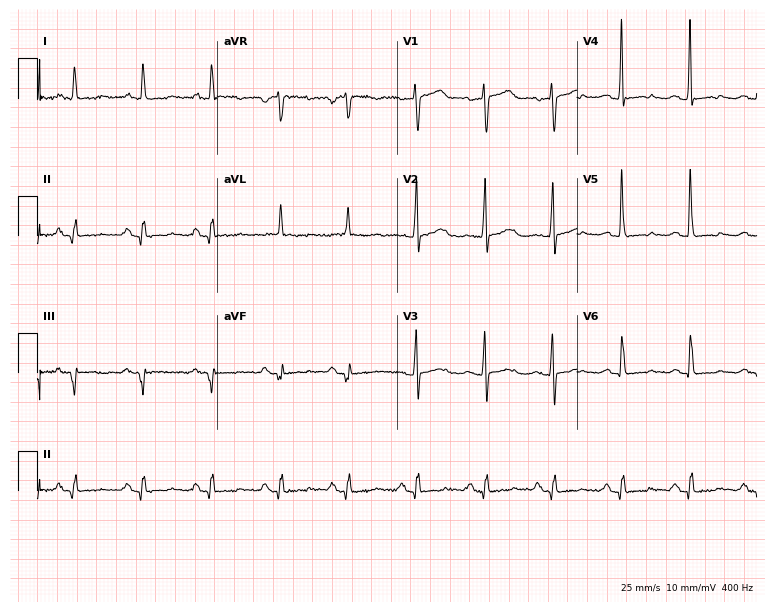
12-lead ECG from a 66-year-old female patient. No first-degree AV block, right bundle branch block, left bundle branch block, sinus bradycardia, atrial fibrillation or sinus tachycardia recorded for this tracing. Other findings, if any, are not listed.